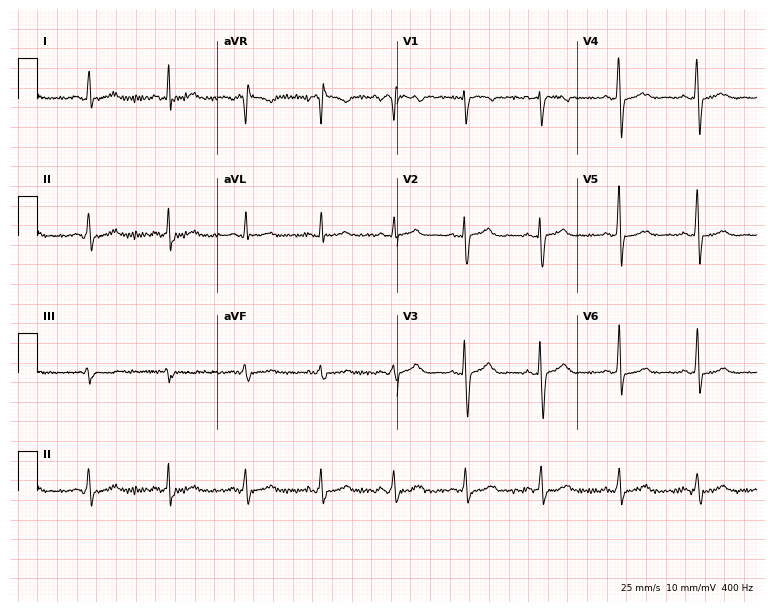
Standard 12-lead ECG recorded from a female patient, 33 years old (7.3-second recording at 400 Hz). None of these six findings is recorded: first-degree AV block, right bundle branch block (RBBB), left bundle branch block (LBBB), sinus bradycardia, atrial fibrillation (AF), sinus tachycardia. Other findings, if any, are not listed.